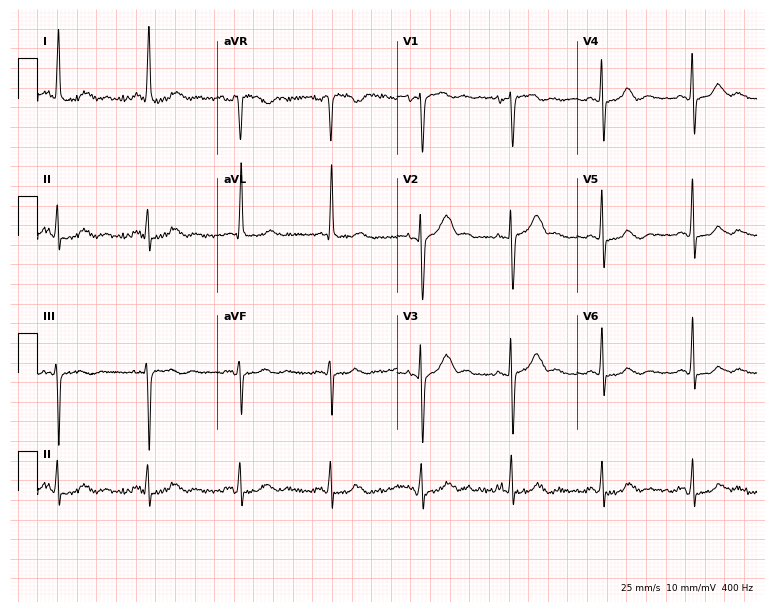
Electrocardiogram (7.3-second recording at 400 Hz), an 84-year-old woman. Of the six screened findings (first-degree AV block, right bundle branch block, left bundle branch block, sinus bradycardia, atrial fibrillation, sinus tachycardia), none is recorded.